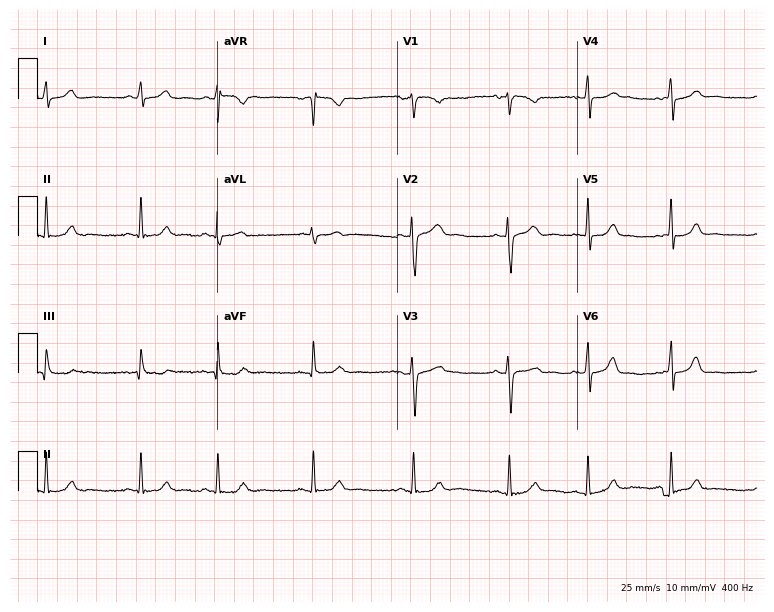
12-lead ECG from a female patient, 19 years old. Labelled as a normal ECG.